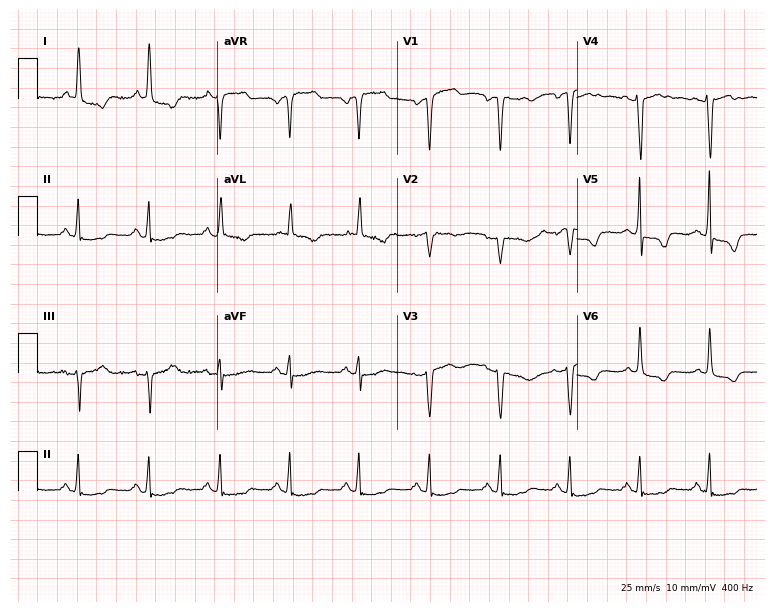
Resting 12-lead electrocardiogram. Patient: a 66-year-old woman. None of these six findings is recorded: first-degree AV block, right bundle branch block, left bundle branch block, sinus bradycardia, atrial fibrillation, sinus tachycardia. Findings outside these six are not listed.